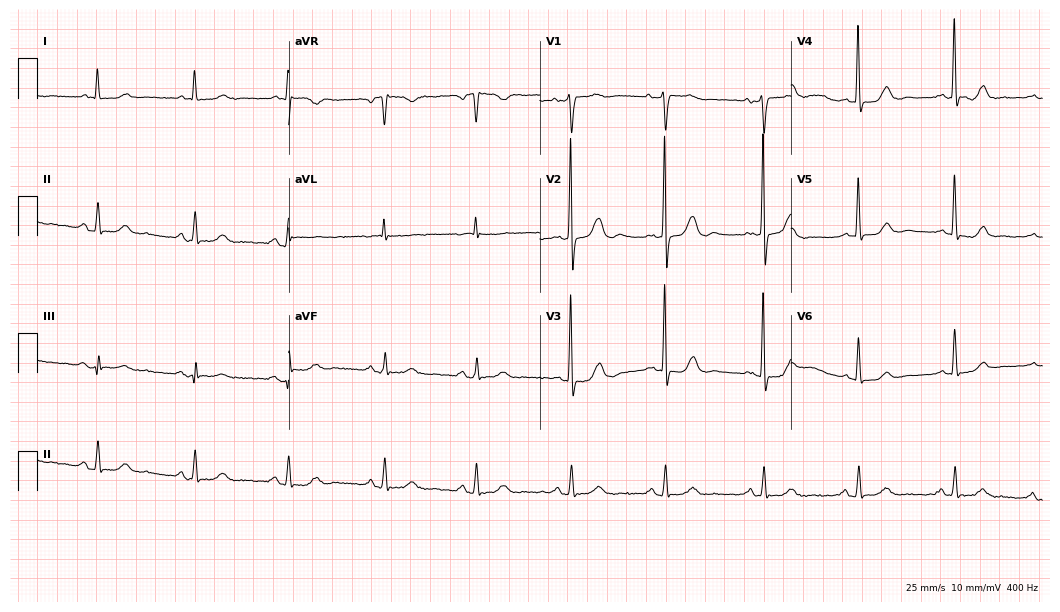
12-lead ECG from a 72-year-old female patient. No first-degree AV block, right bundle branch block, left bundle branch block, sinus bradycardia, atrial fibrillation or sinus tachycardia recorded for this tracing. Other findings, if any, are not listed.